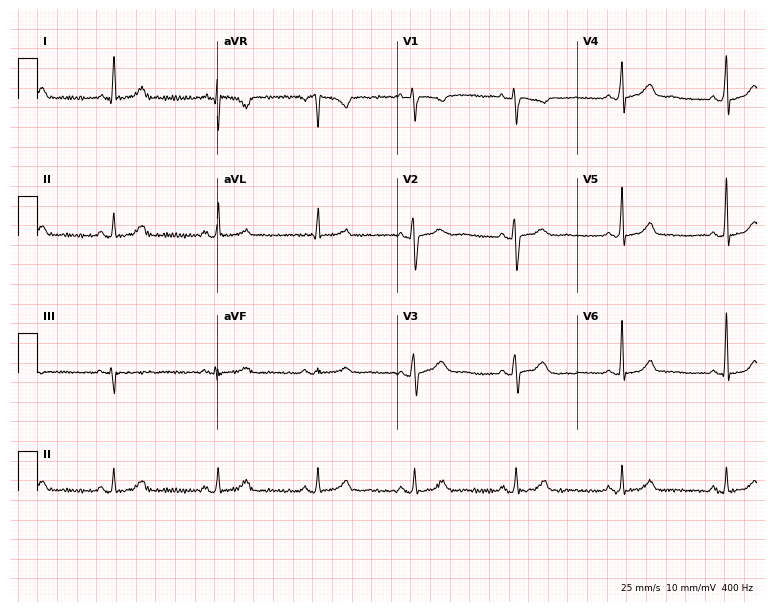
Electrocardiogram, a female patient, 31 years old. Overall reading on record: normal ECG.